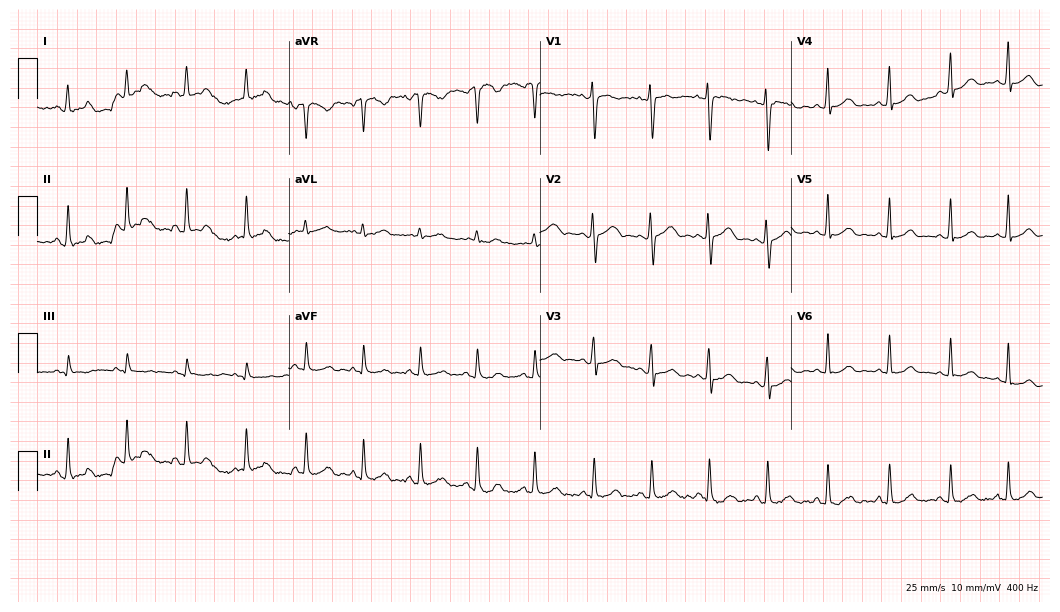
ECG — a woman, 29 years old. Screened for six findings — first-degree AV block, right bundle branch block (RBBB), left bundle branch block (LBBB), sinus bradycardia, atrial fibrillation (AF), sinus tachycardia — none is recorded.